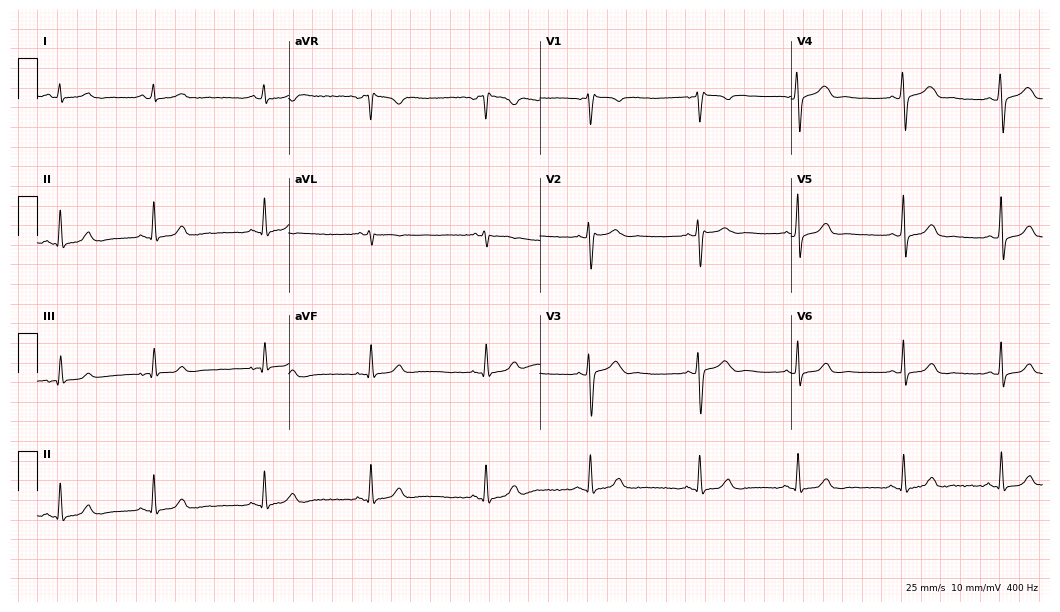
Resting 12-lead electrocardiogram. Patient: a female, 31 years old. None of these six findings is recorded: first-degree AV block, right bundle branch block (RBBB), left bundle branch block (LBBB), sinus bradycardia, atrial fibrillation (AF), sinus tachycardia. Only these six findings were labelled.